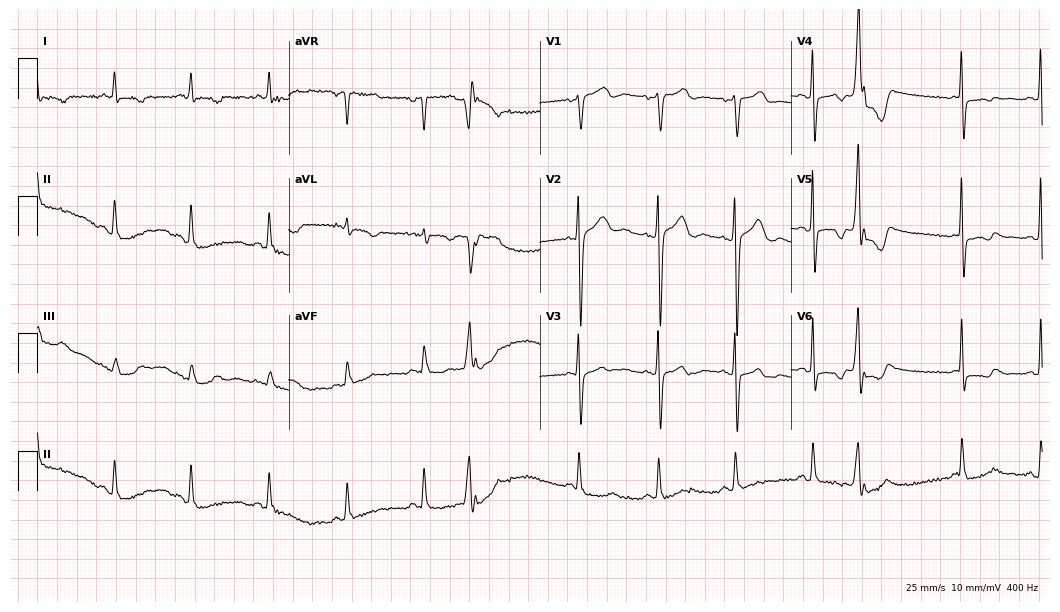
12-lead ECG from a female, 75 years old. Screened for six findings — first-degree AV block, right bundle branch block, left bundle branch block, sinus bradycardia, atrial fibrillation, sinus tachycardia — none is recorded.